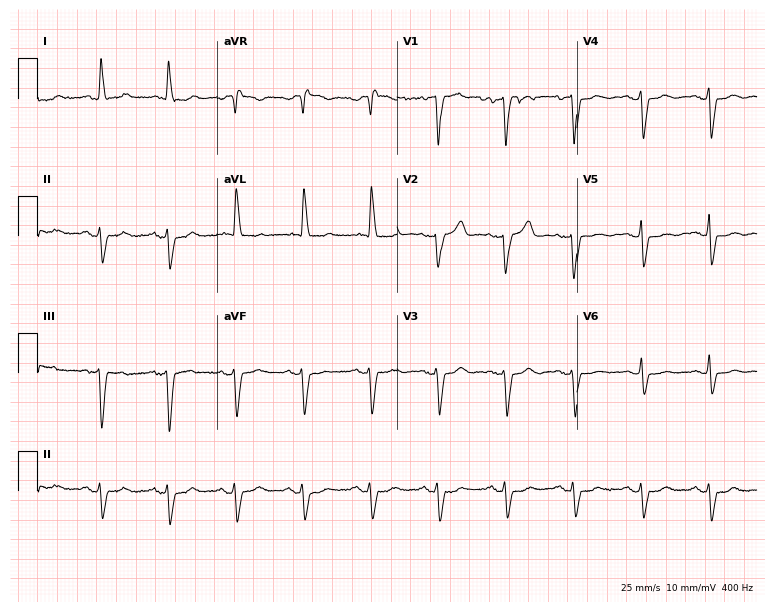
Electrocardiogram (7.3-second recording at 400 Hz), a female patient, 83 years old. Of the six screened findings (first-degree AV block, right bundle branch block (RBBB), left bundle branch block (LBBB), sinus bradycardia, atrial fibrillation (AF), sinus tachycardia), none is recorded. Findings outside these six are not listed.